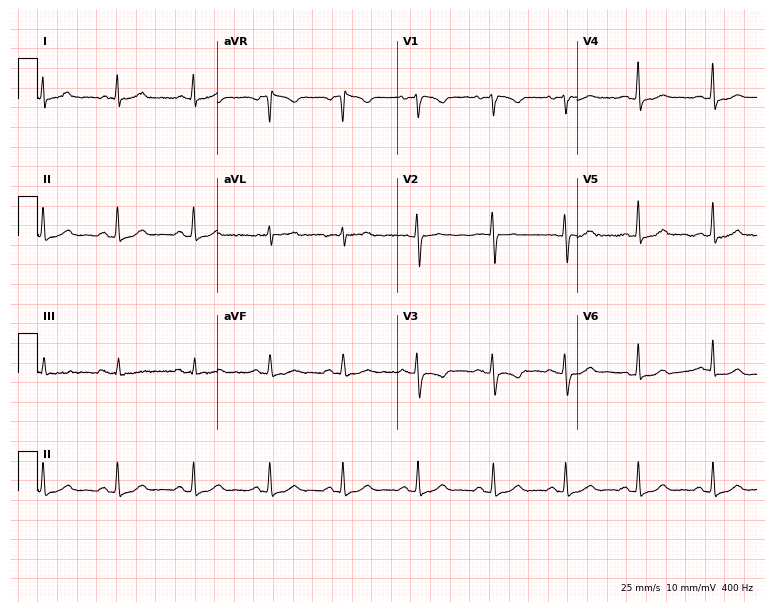
12-lead ECG from a woman, 44 years old. Labelled as a normal ECG.